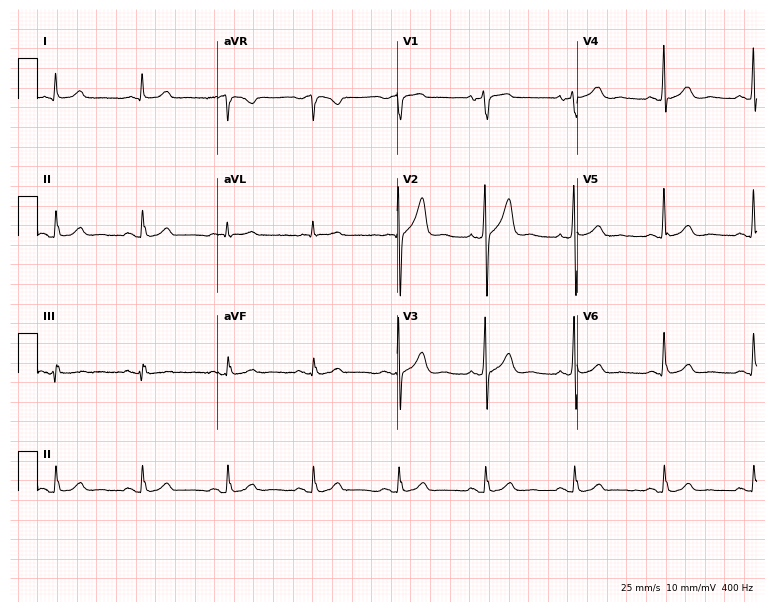
Electrocardiogram (7.3-second recording at 400 Hz), a 65-year-old male patient. Of the six screened findings (first-degree AV block, right bundle branch block, left bundle branch block, sinus bradycardia, atrial fibrillation, sinus tachycardia), none is recorded.